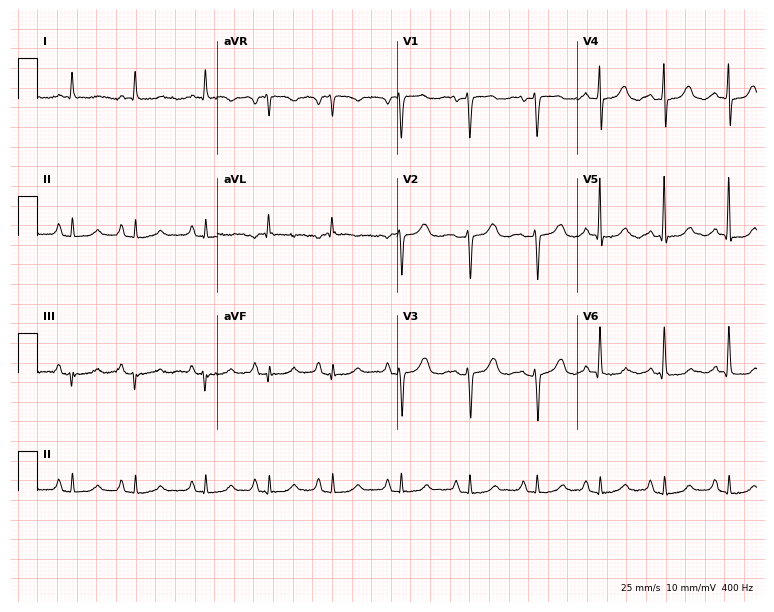
12-lead ECG from a 75-year-old female patient. Screened for six findings — first-degree AV block, right bundle branch block, left bundle branch block, sinus bradycardia, atrial fibrillation, sinus tachycardia — none is recorded.